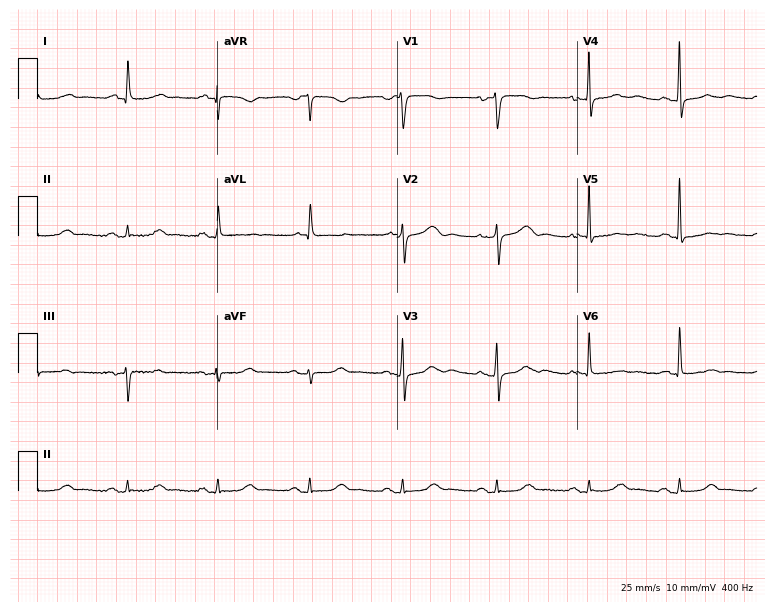
ECG — an 85-year-old female patient. Labelled as a normal ECG.